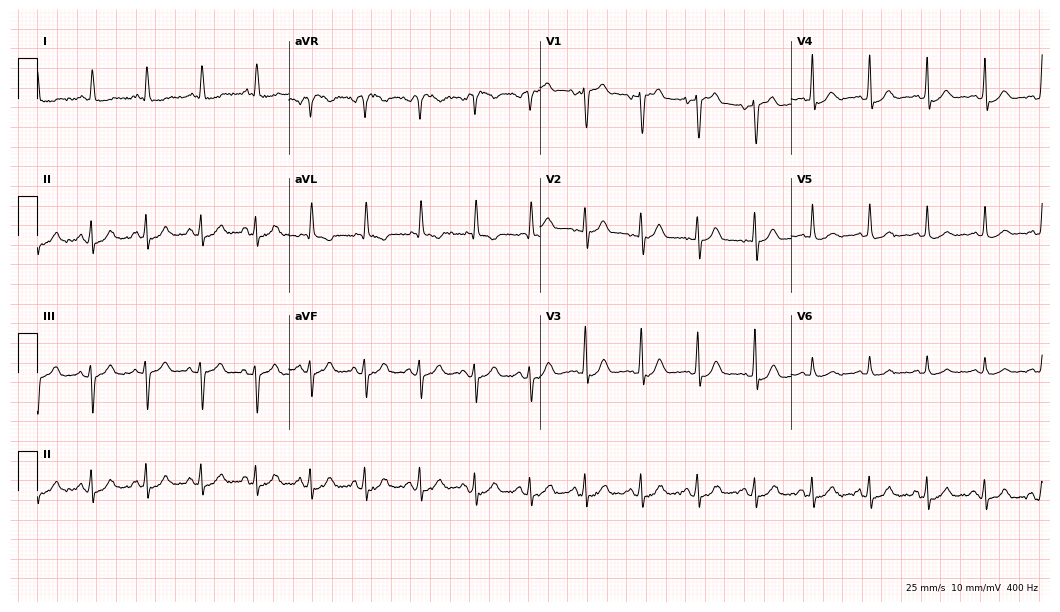
12-lead ECG (10.2-second recording at 400 Hz) from a 74-year-old man. Findings include sinus tachycardia (a sinus rate of 100 beats per minute or more).